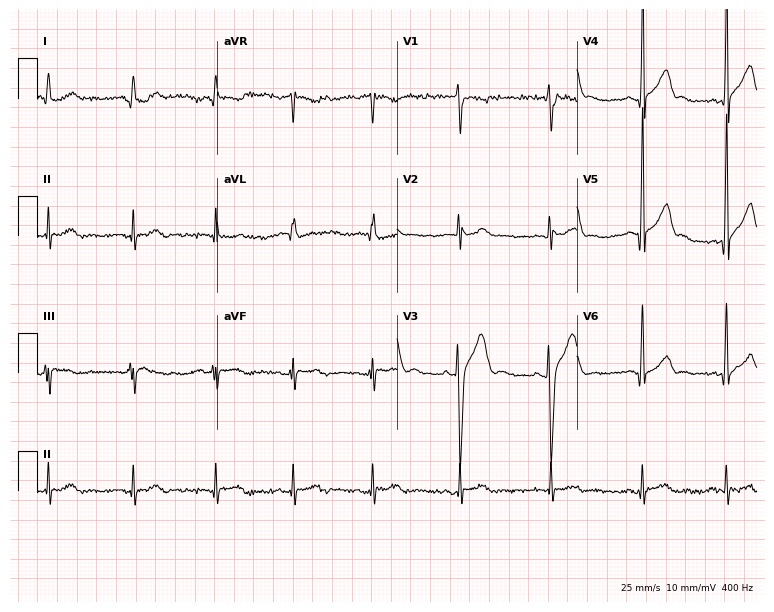
Standard 12-lead ECG recorded from a male patient, 28 years old. None of these six findings is recorded: first-degree AV block, right bundle branch block, left bundle branch block, sinus bradycardia, atrial fibrillation, sinus tachycardia. Findings outside these six are not listed.